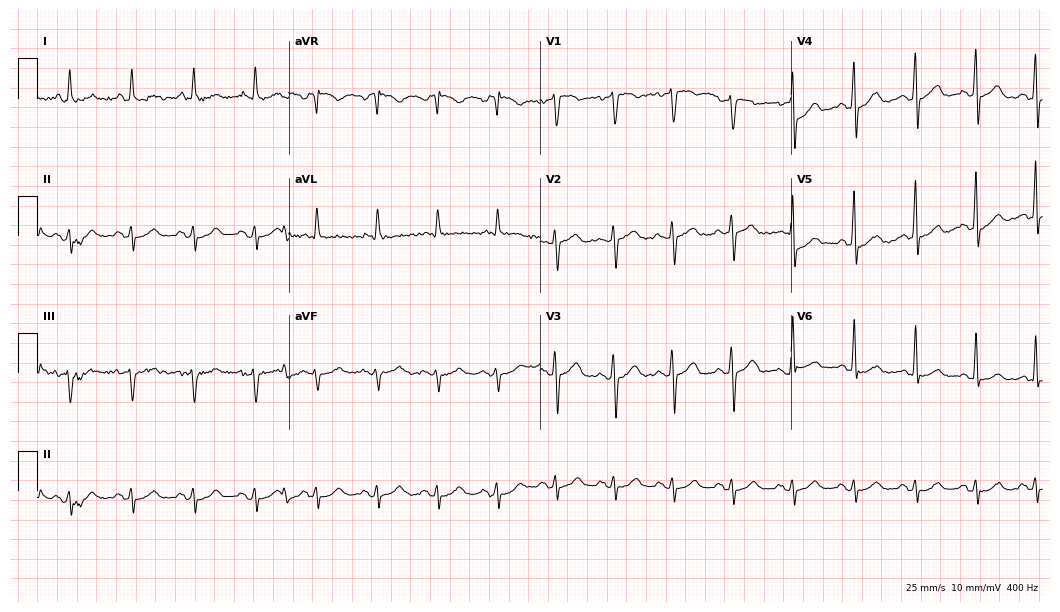
Standard 12-lead ECG recorded from a male, 72 years old (10.2-second recording at 400 Hz). None of these six findings is recorded: first-degree AV block, right bundle branch block (RBBB), left bundle branch block (LBBB), sinus bradycardia, atrial fibrillation (AF), sinus tachycardia.